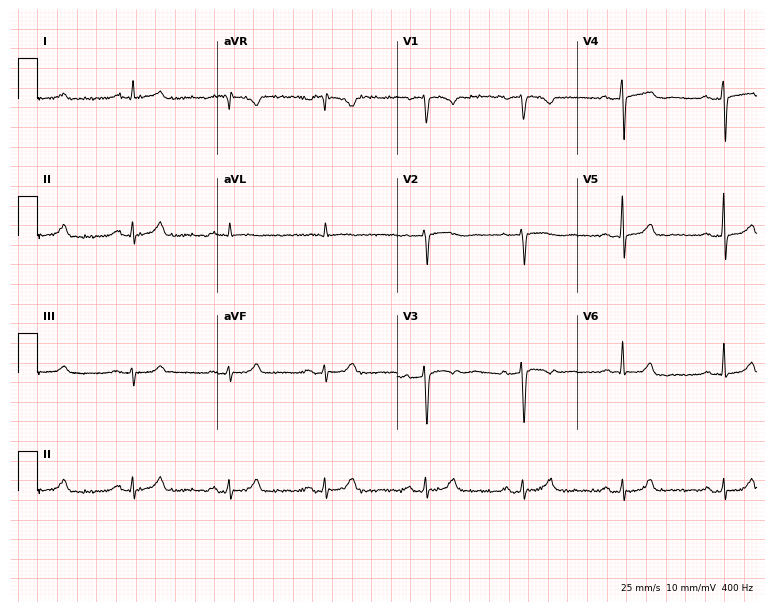
12-lead ECG from a female, 50 years old. Labelled as a normal ECG.